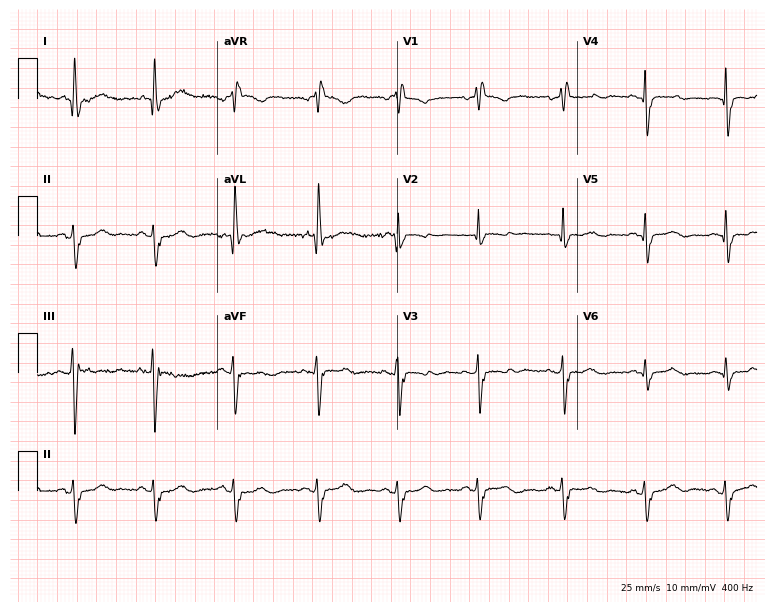
ECG — a 72-year-old woman. Findings include right bundle branch block.